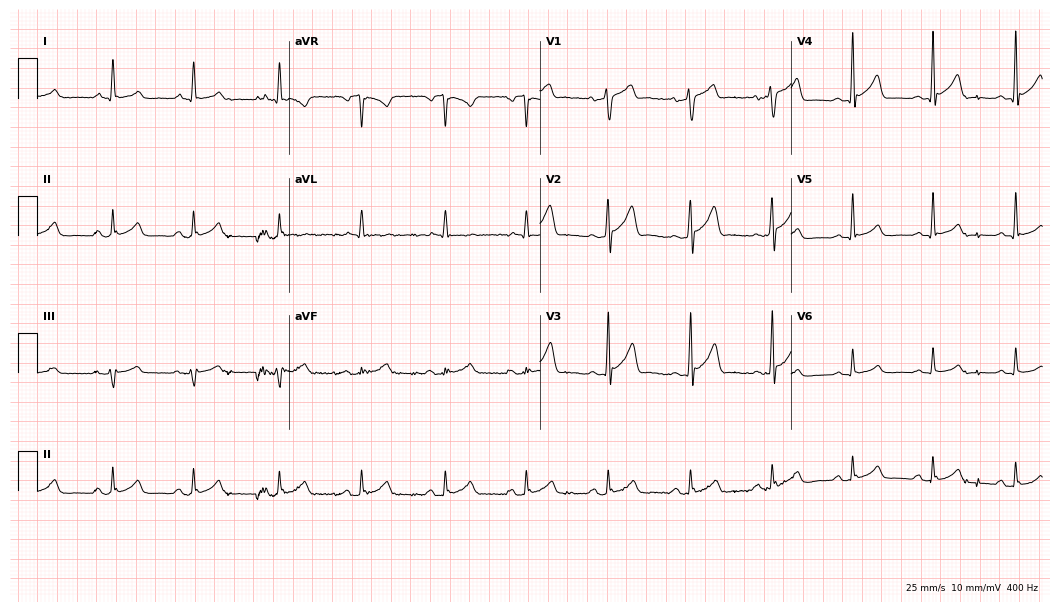
ECG — a 57-year-old man. Labelled as a normal ECG.